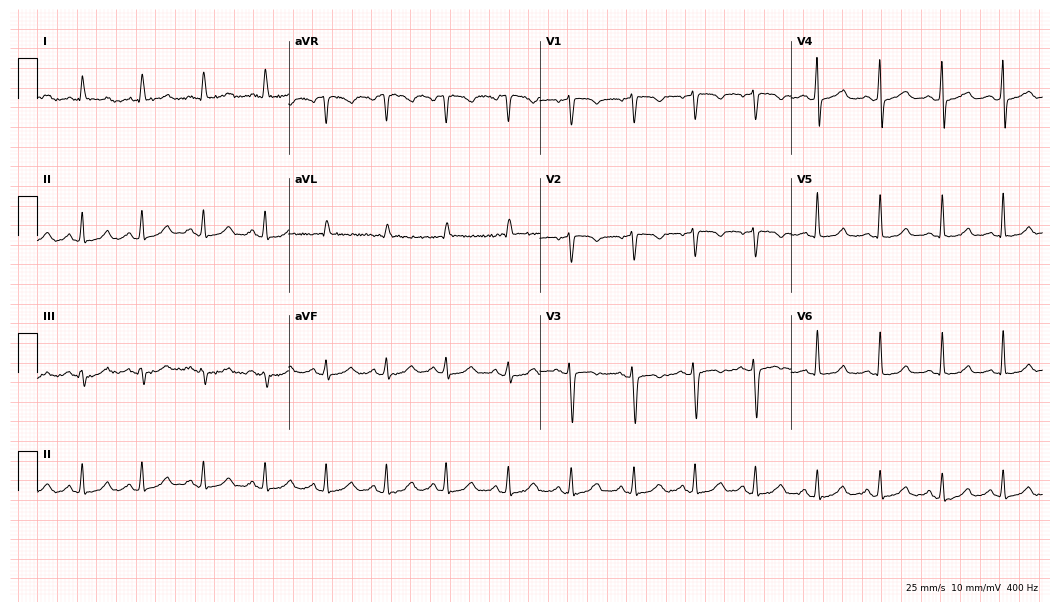
ECG (10.2-second recording at 400 Hz) — a female patient, 56 years old. Labelled as a normal ECG.